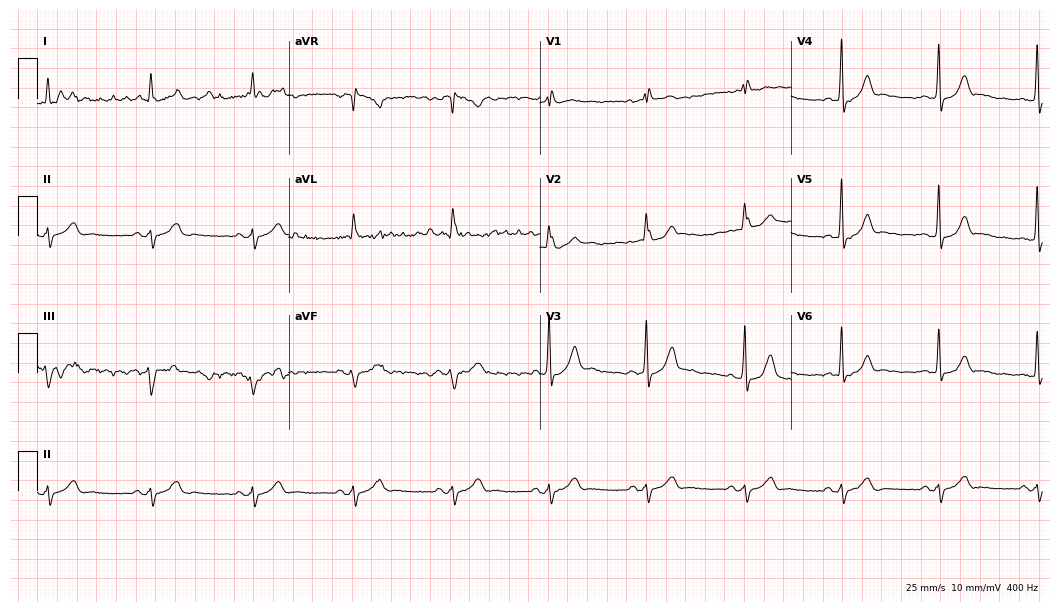
12-lead ECG (10.2-second recording at 400 Hz) from a 63-year-old male. Screened for six findings — first-degree AV block, right bundle branch block, left bundle branch block, sinus bradycardia, atrial fibrillation, sinus tachycardia — none is recorded.